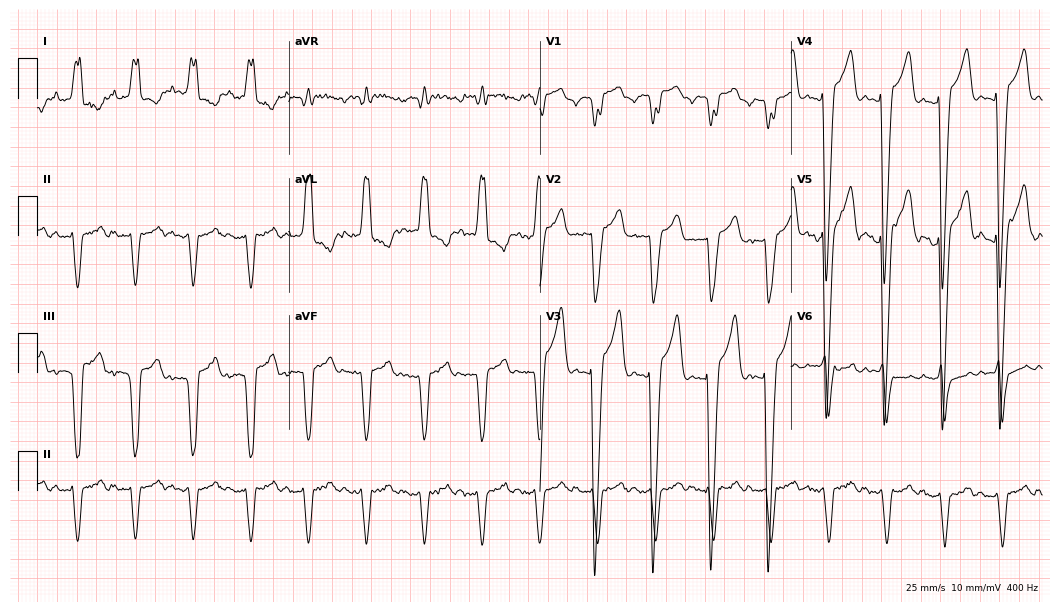
12-lead ECG from a 71-year-old female patient (10.2-second recording at 400 Hz). No first-degree AV block, right bundle branch block, left bundle branch block, sinus bradycardia, atrial fibrillation or sinus tachycardia recorded for this tracing.